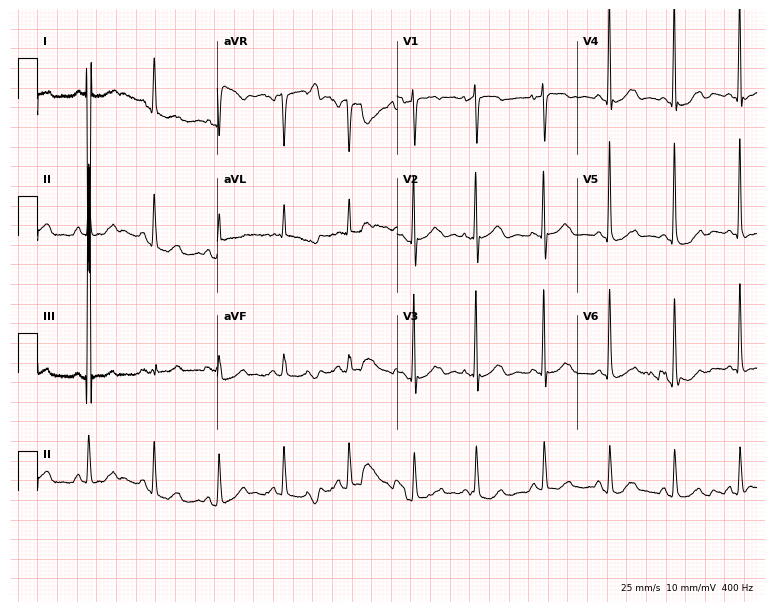
Resting 12-lead electrocardiogram (7.3-second recording at 400 Hz). Patient: an 85-year-old female. None of these six findings is recorded: first-degree AV block, right bundle branch block, left bundle branch block, sinus bradycardia, atrial fibrillation, sinus tachycardia. Findings outside these six are not listed.